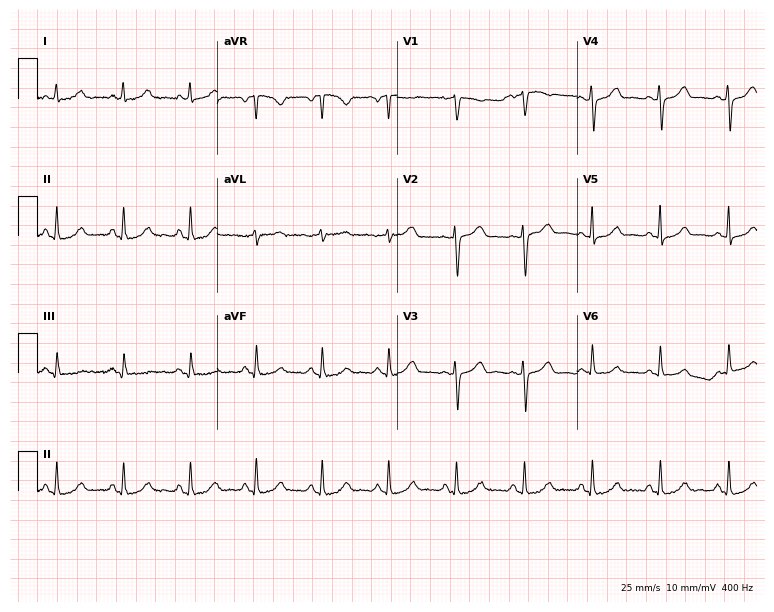
ECG (7.3-second recording at 400 Hz) — a woman, 61 years old. Screened for six findings — first-degree AV block, right bundle branch block (RBBB), left bundle branch block (LBBB), sinus bradycardia, atrial fibrillation (AF), sinus tachycardia — none is recorded. Only these six findings were labelled.